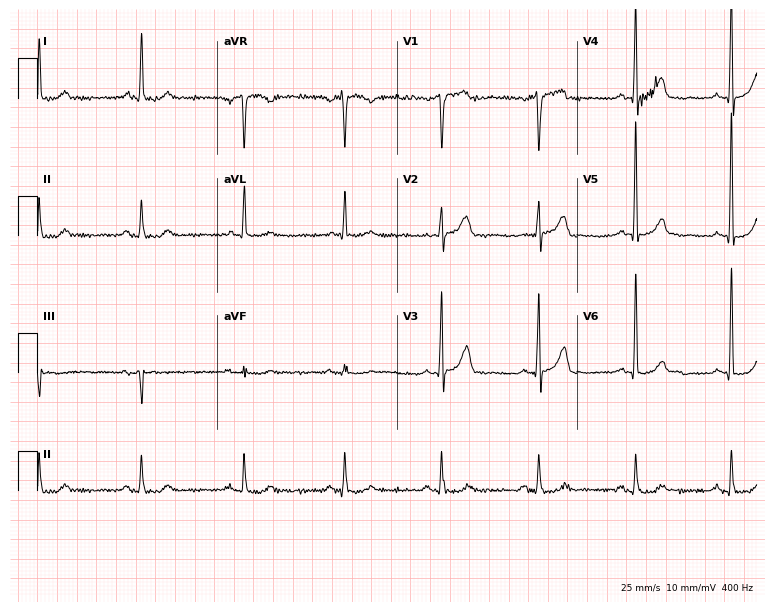
12-lead ECG from a 69-year-old man. Screened for six findings — first-degree AV block, right bundle branch block (RBBB), left bundle branch block (LBBB), sinus bradycardia, atrial fibrillation (AF), sinus tachycardia — none is recorded.